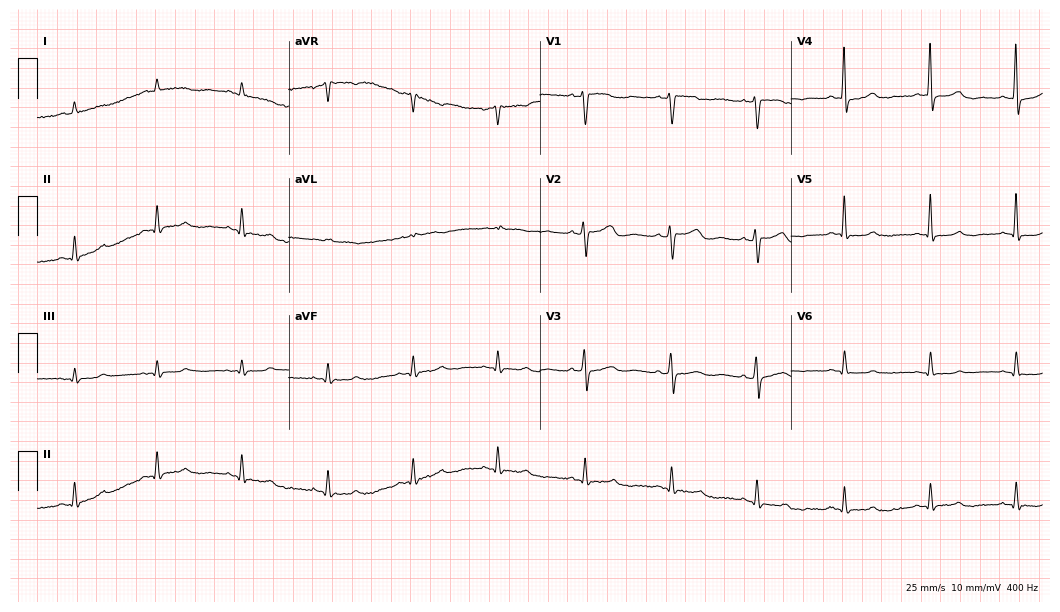
ECG — a male, 70 years old. Screened for six findings — first-degree AV block, right bundle branch block, left bundle branch block, sinus bradycardia, atrial fibrillation, sinus tachycardia — none is recorded. Only these six findings were labelled.